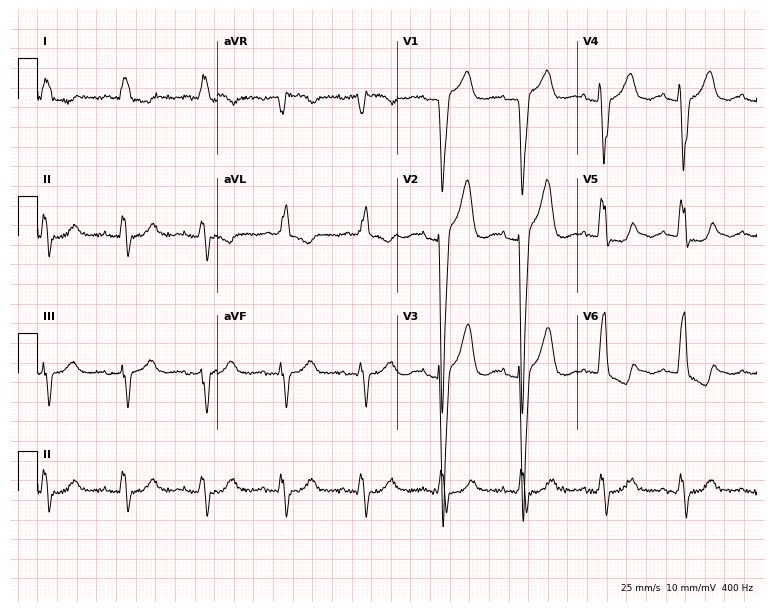
Electrocardiogram (7.3-second recording at 400 Hz), a female patient, 84 years old. Interpretation includes left bundle branch block.